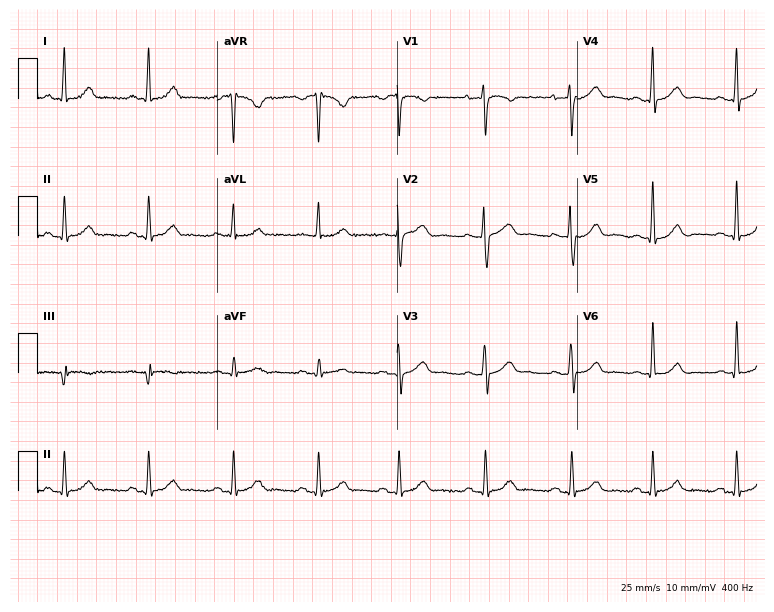
Resting 12-lead electrocardiogram (7.3-second recording at 400 Hz). Patient: a woman, 32 years old. Read as a normal ECG.